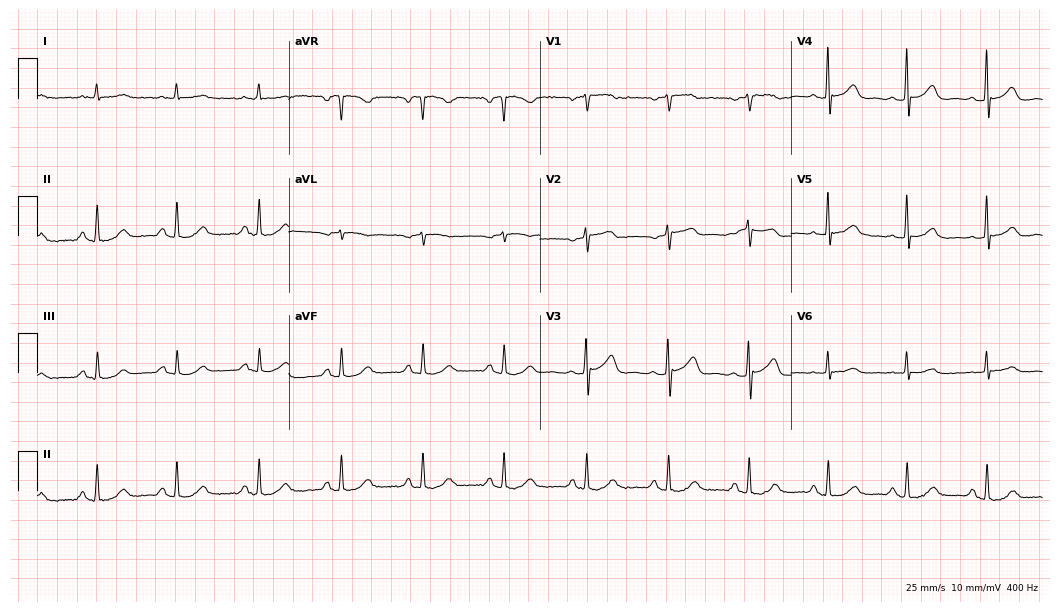
Resting 12-lead electrocardiogram. Patient: a male, 82 years old. Read as a normal ECG.